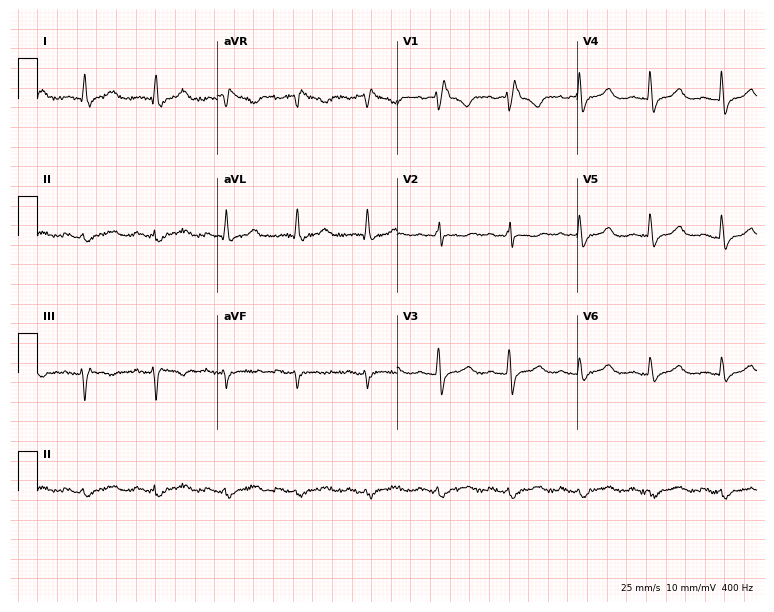
ECG (7.3-second recording at 400 Hz) — a 76-year-old woman. Findings include right bundle branch block (RBBB).